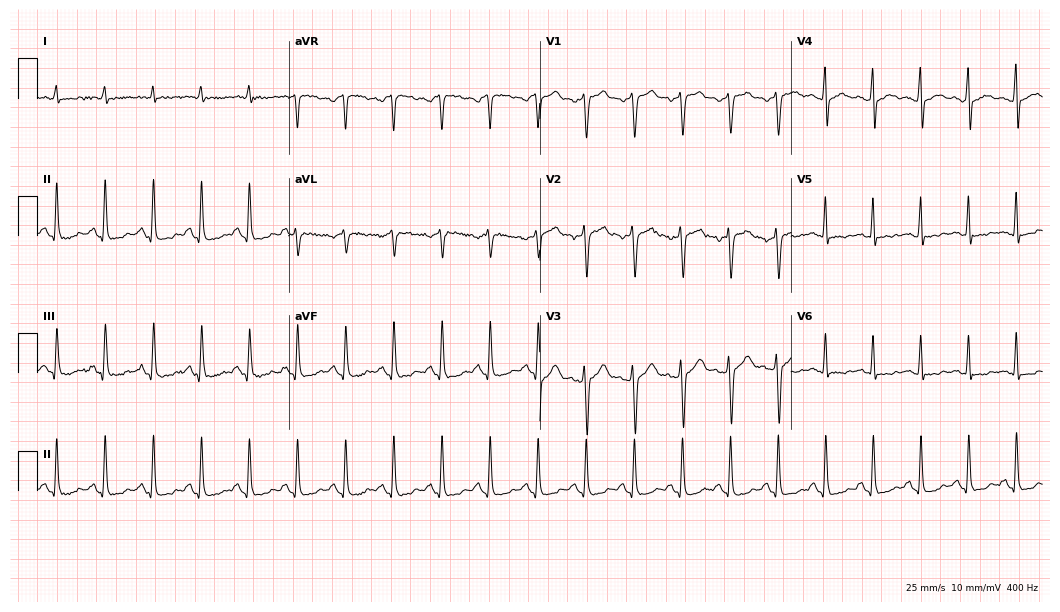
ECG — a 43-year-old man. Findings include sinus tachycardia (a sinus rate of 100 beats per minute or more).